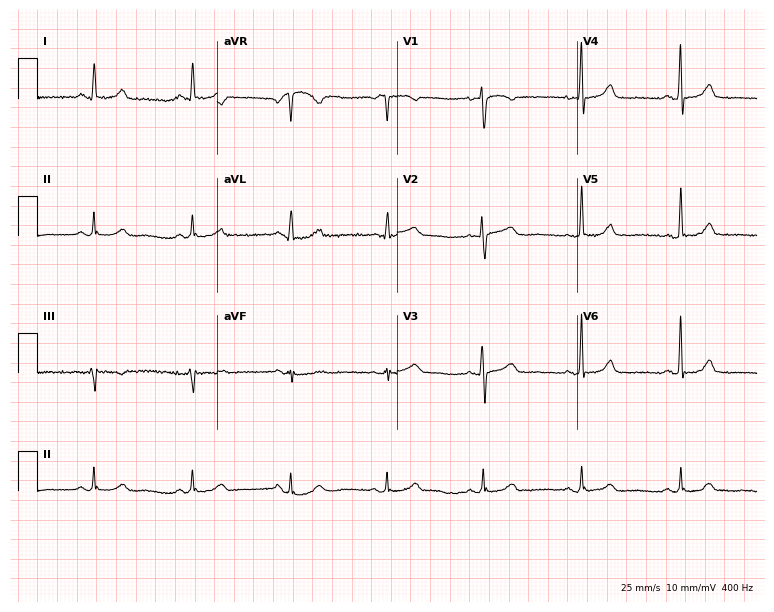
Standard 12-lead ECG recorded from a 68-year-old female patient (7.3-second recording at 400 Hz). None of these six findings is recorded: first-degree AV block, right bundle branch block, left bundle branch block, sinus bradycardia, atrial fibrillation, sinus tachycardia.